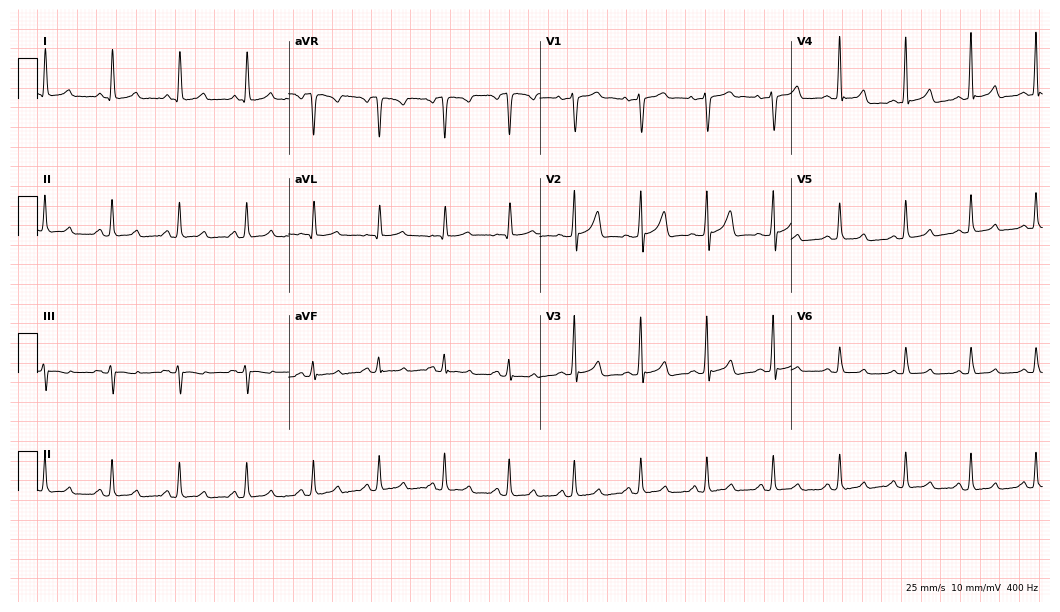
ECG (10.2-second recording at 400 Hz) — a woman, 43 years old. Labelled as a normal ECG.